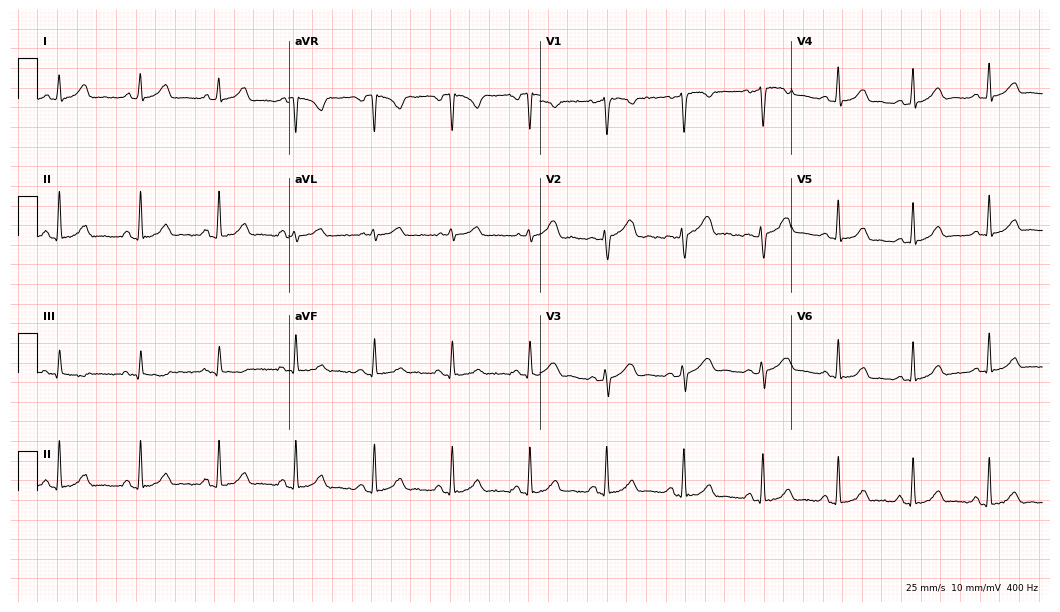
Electrocardiogram (10.2-second recording at 400 Hz), a female patient, 33 years old. Overall reading on record: normal ECG.